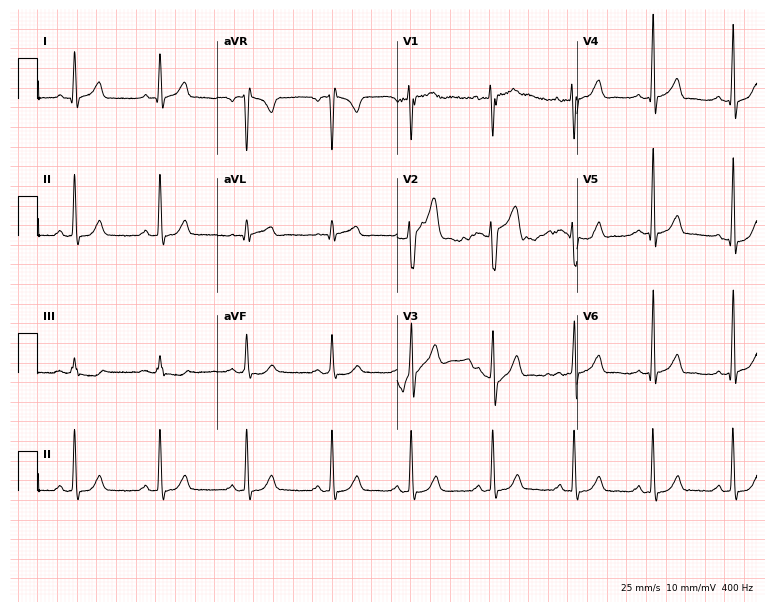
Resting 12-lead electrocardiogram. Patient: a 31-year-old man. None of these six findings is recorded: first-degree AV block, right bundle branch block (RBBB), left bundle branch block (LBBB), sinus bradycardia, atrial fibrillation (AF), sinus tachycardia. Findings outside these six are not listed.